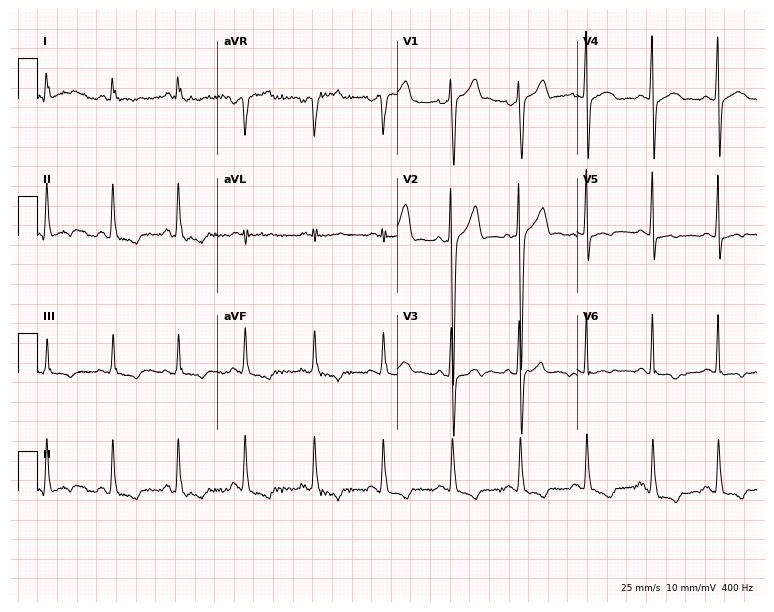
Resting 12-lead electrocardiogram (7.3-second recording at 400 Hz). Patient: a 28-year-old man. None of these six findings is recorded: first-degree AV block, right bundle branch block, left bundle branch block, sinus bradycardia, atrial fibrillation, sinus tachycardia.